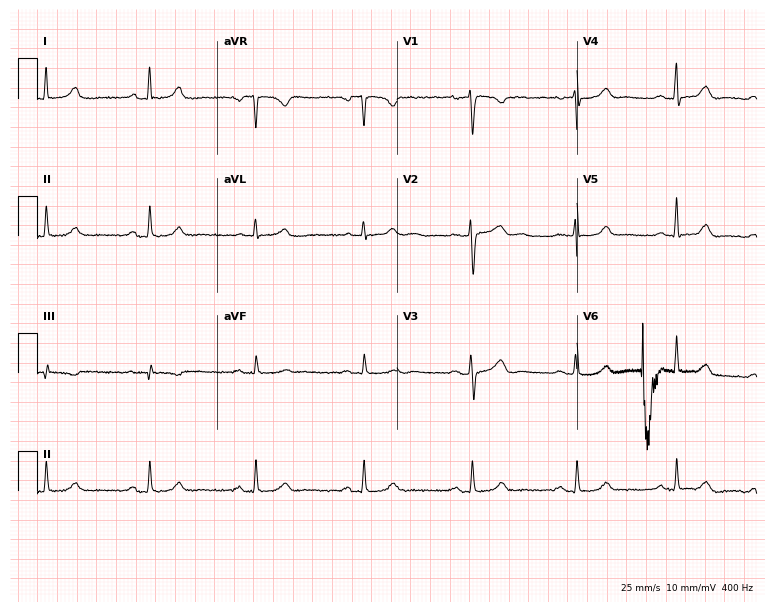
ECG (7.3-second recording at 400 Hz) — a woman, 59 years old. Screened for six findings — first-degree AV block, right bundle branch block, left bundle branch block, sinus bradycardia, atrial fibrillation, sinus tachycardia — none is recorded.